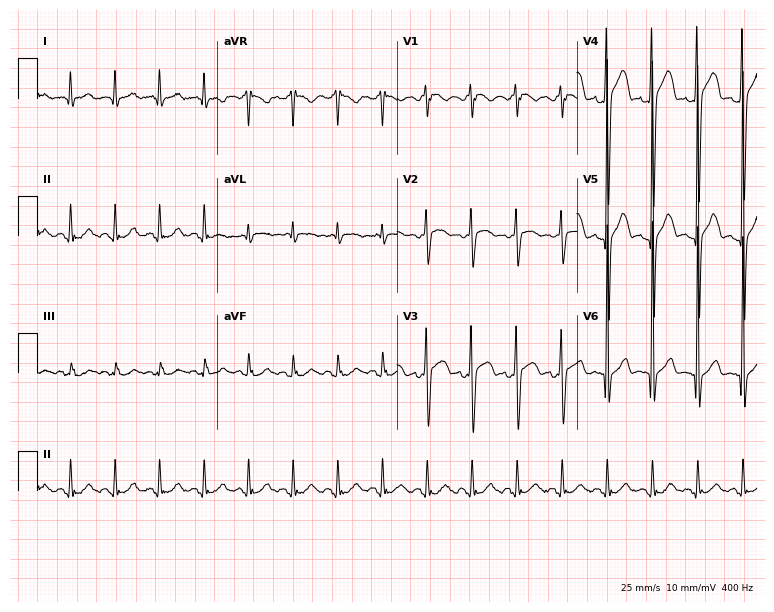
Electrocardiogram (7.3-second recording at 400 Hz), a 44-year-old male. Interpretation includes sinus tachycardia (a sinus rate of 100 beats per minute or more).